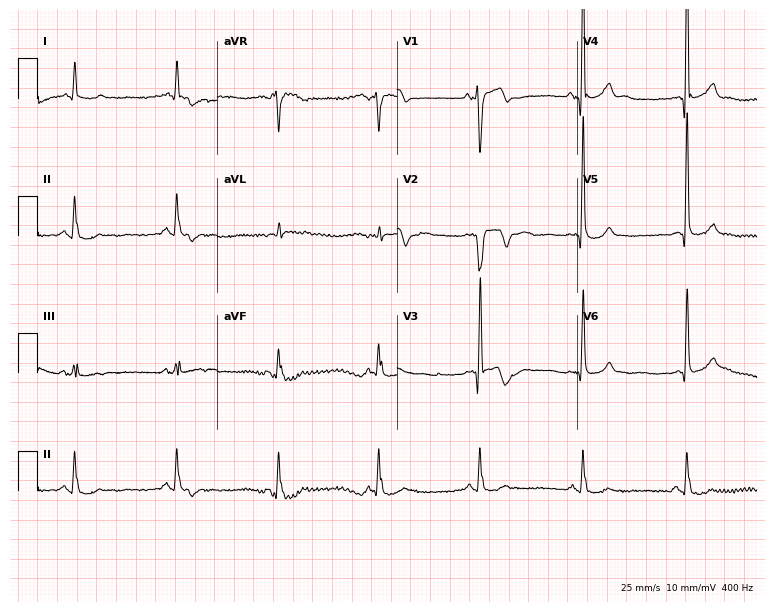
Resting 12-lead electrocardiogram (7.3-second recording at 400 Hz). Patient: an 81-year-old man. None of these six findings is recorded: first-degree AV block, right bundle branch block, left bundle branch block, sinus bradycardia, atrial fibrillation, sinus tachycardia. Findings outside these six are not listed.